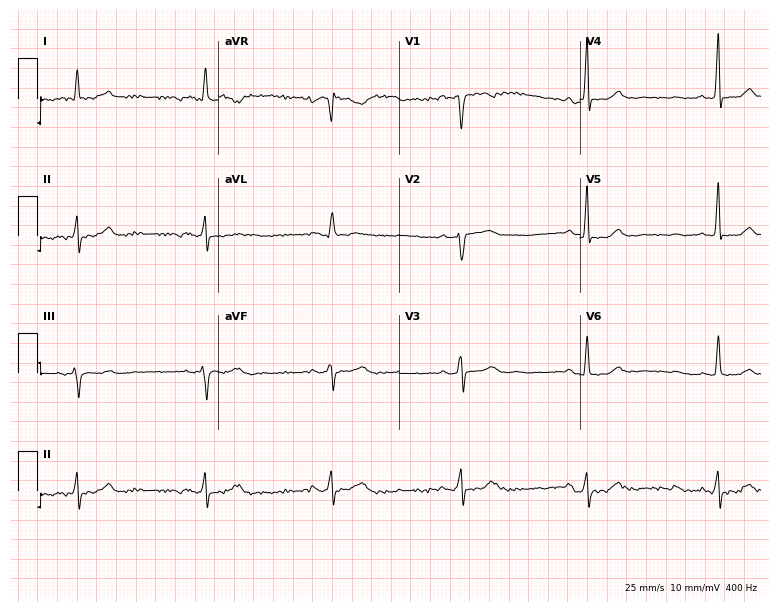
ECG — a female patient, 61 years old. Screened for six findings — first-degree AV block, right bundle branch block (RBBB), left bundle branch block (LBBB), sinus bradycardia, atrial fibrillation (AF), sinus tachycardia — none is recorded. Findings outside these six are not listed.